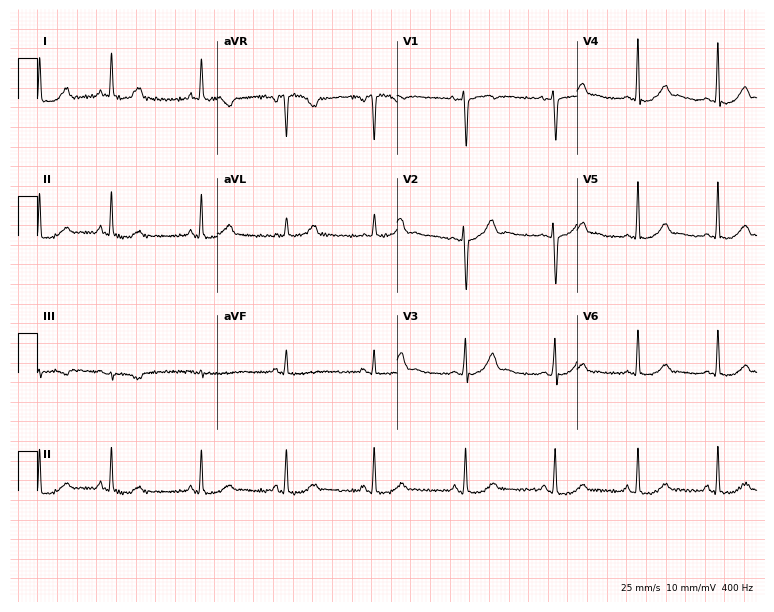
12-lead ECG (7.3-second recording at 400 Hz) from a female patient, 47 years old. Screened for six findings — first-degree AV block, right bundle branch block, left bundle branch block, sinus bradycardia, atrial fibrillation, sinus tachycardia — none is recorded. Only these six findings were labelled.